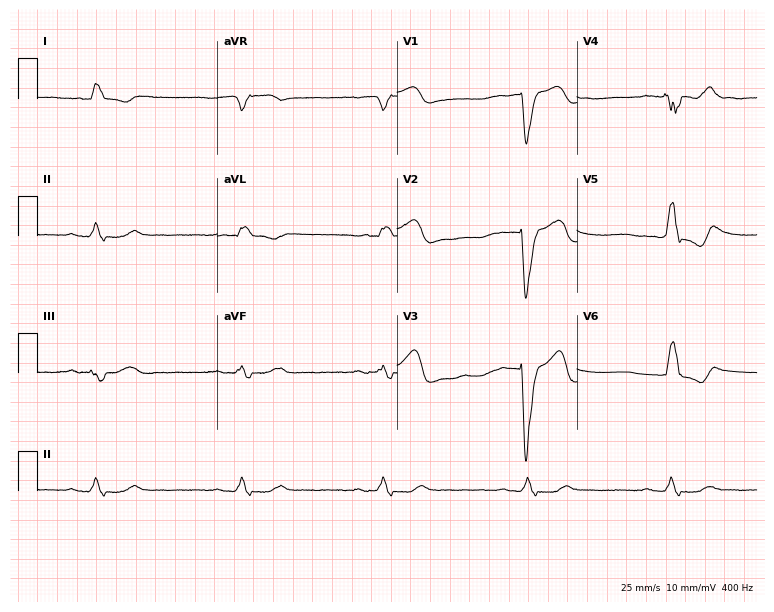
Standard 12-lead ECG recorded from an 80-year-old man (7.3-second recording at 400 Hz). The tracing shows left bundle branch block (LBBB), sinus bradycardia (a sinus rate of 50 beats per minute or less).